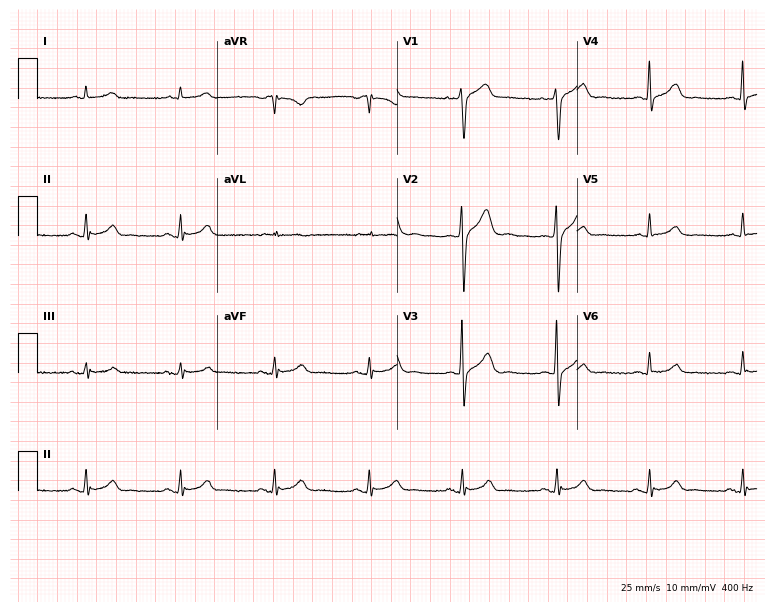
ECG — a 51-year-old man. Labelled as a normal ECG.